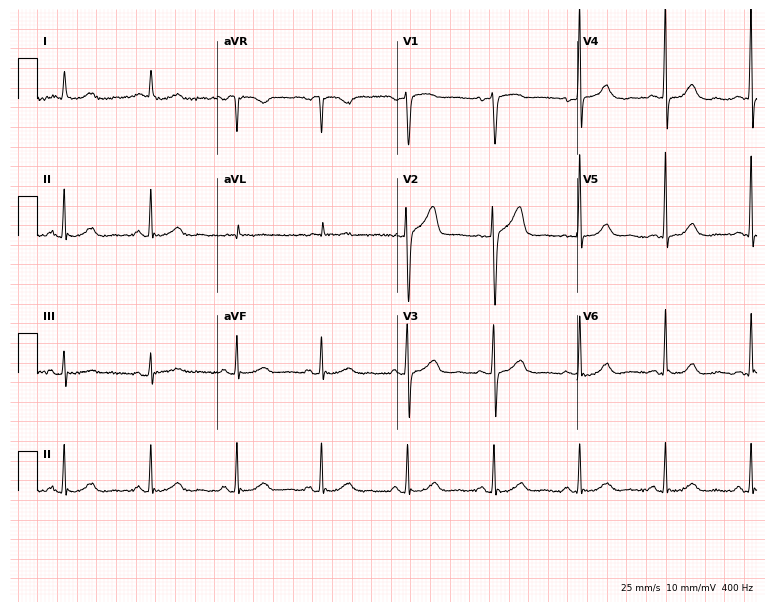
12-lead ECG from a 55-year-old male. Recorded interpretation: within normal limits.